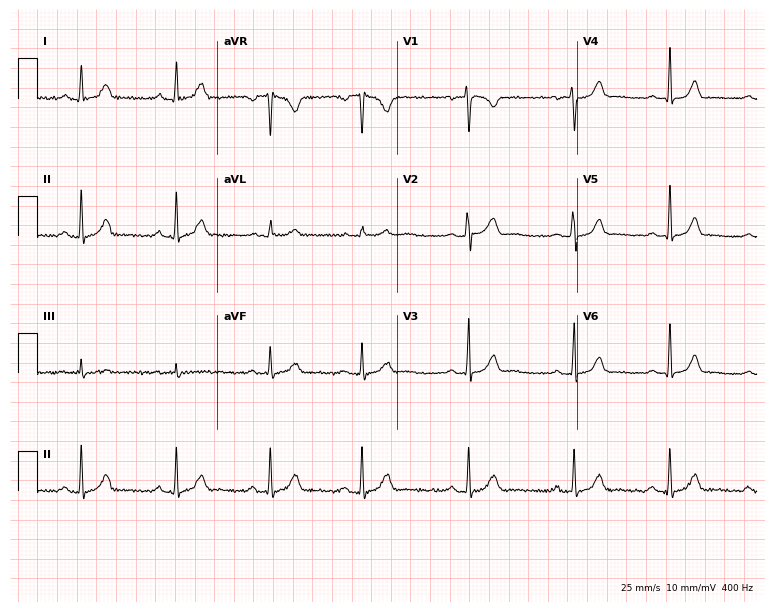
Electrocardiogram (7.3-second recording at 400 Hz), a 25-year-old female patient. Overall reading on record: normal ECG.